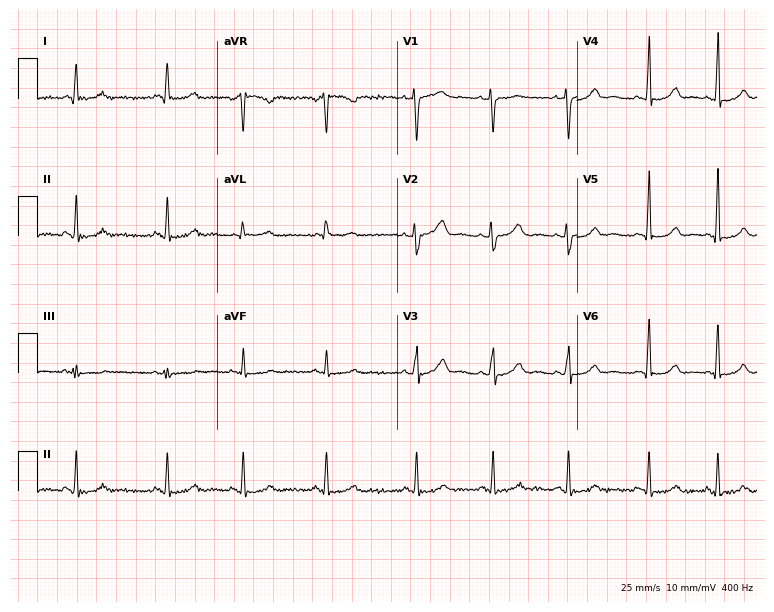
Electrocardiogram (7.3-second recording at 400 Hz), a 36-year-old woman. Of the six screened findings (first-degree AV block, right bundle branch block (RBBB), left bundle branch block (LBBB), sinus bradycardia, atrial fibrillation (AF), sinus tachycardia), none is recorded. Other findings, if any, are not listed.